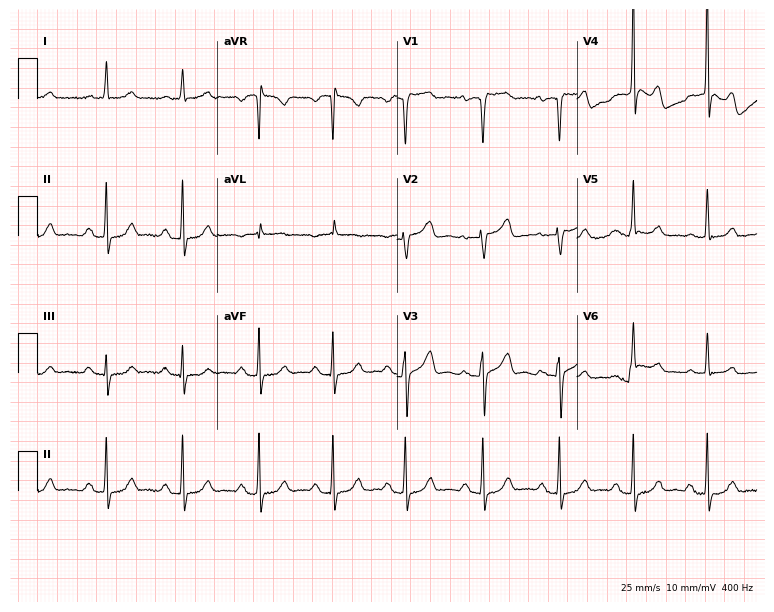
Electrocardiogram, an 81-year-old female patient. Of the six screened findings (first-degree AV block, right bundle branch block (RBBB), left bundle branch block (LBBB), sinus bradycardia, atrial fibrillation (AF), sinus tachycardia), none is recorded. Findings outside these six are not listed.